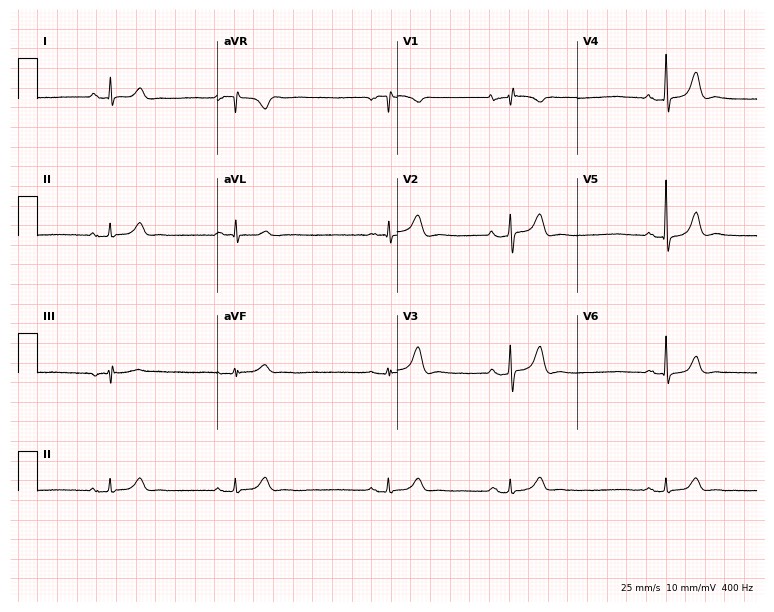
12-lead ECG from a woman, 65 years old. Findings include sinus bradycardia (a sinus rate of 50 beats per minute or less).